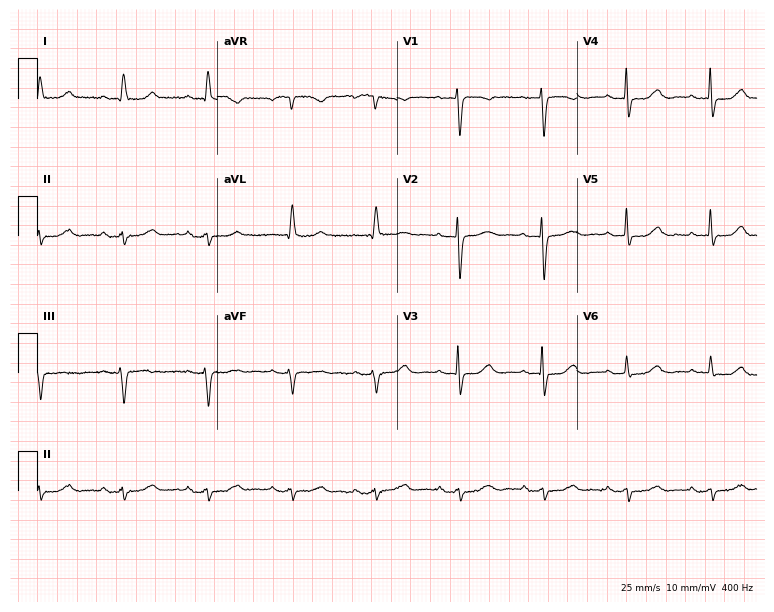
Resting 12-lead electrocardiogram (7.3-second recording at 400 Hz). Patient: a female, 85 years old. None of these six findings is recorded: first-degree AV block, right bundle branch block, left bundle branch block, sinus bradycardia, atrial fibrillation, sinus tachycardia.